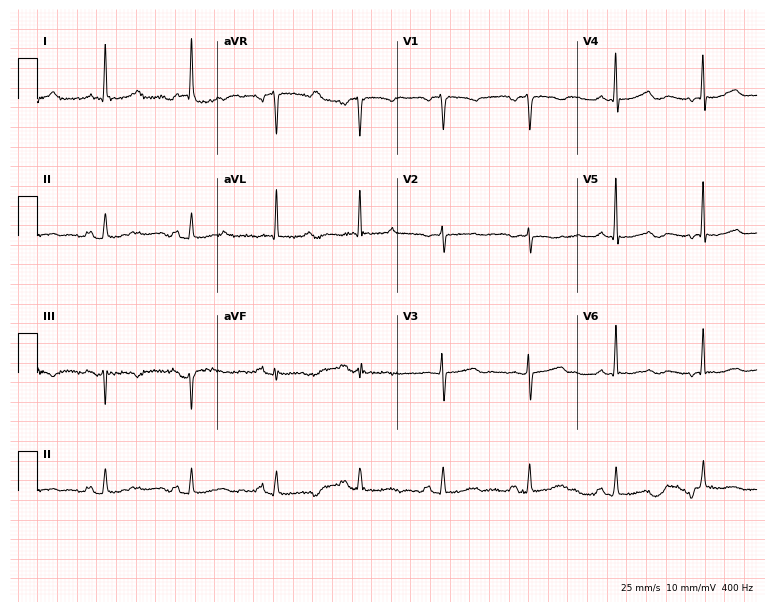
12-lead ECG from a female, 61 years old. No first-degree AV block, right bundle branch block (RBBB), left bundle branch block (LBBB), sinus bradycardia, atrial fibrillation (AF) or sinus tachycardia recorded for this tracing.